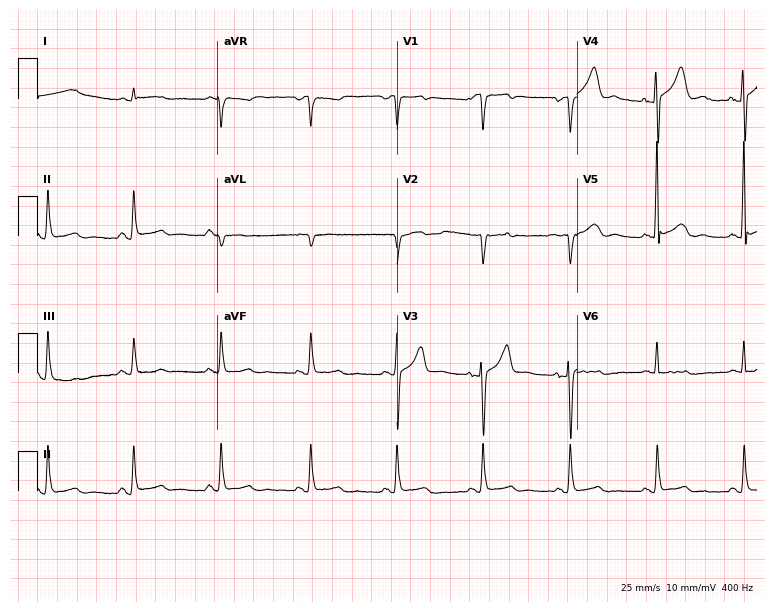
12-lead ECG from a male patient, 55 years old. Labelled as a normal ECG.